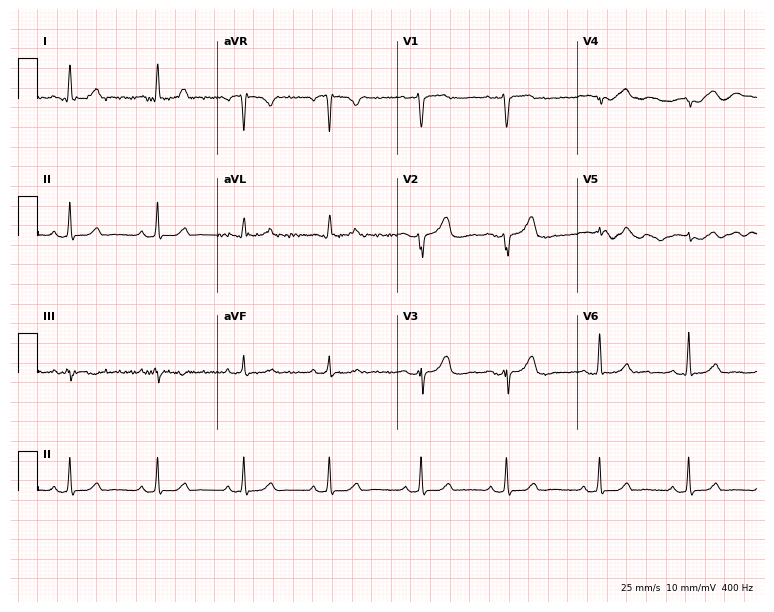
12-lead ECG from a woman, 32 years old. Screened for six findings — first-degree AV block, right bundle branch block, left bundle branch block, sinus bradycardia, atrial fibrillation, sinus tachycardia — none is recorded. Other findings, if any, are not listed.